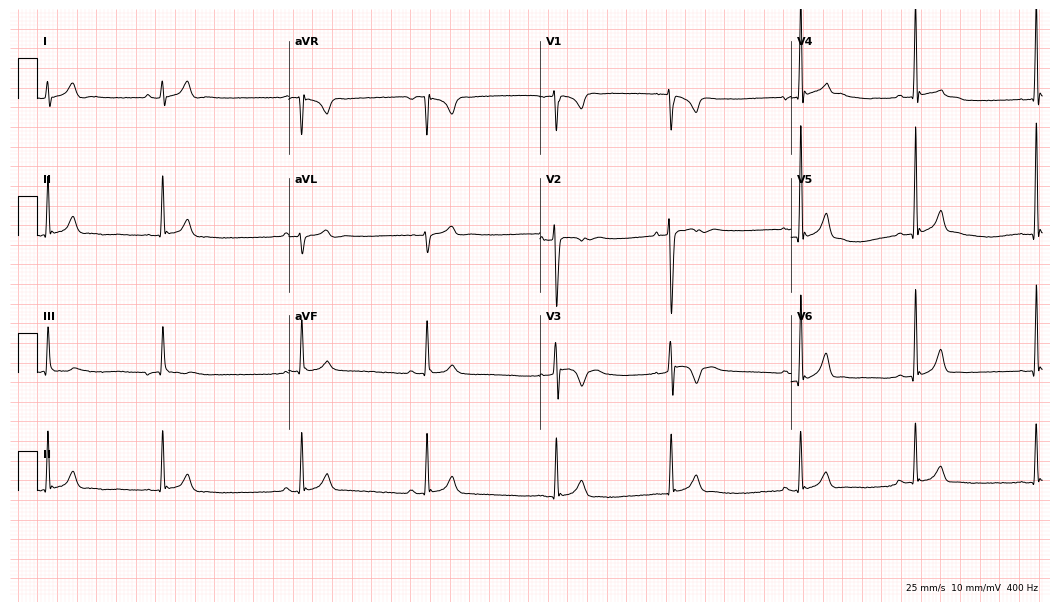
ECG (10.2-second recording at 400 Hz) — a 17-year-old male patient. Screened for six findings — first-degree AV block, right bundle branch block, left bundle branch block, sinus bradycardia, atrial fibrillation, sinus tachycardia — none is recorded. Findings outside these six are not listed.